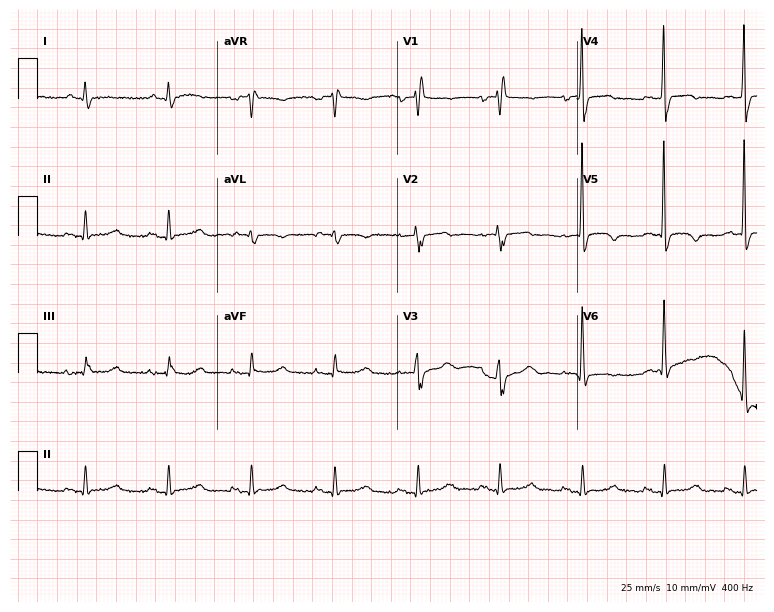
Electrocardiogram, a 72-year-old female patient. Interpretation includes right bundle branch block.